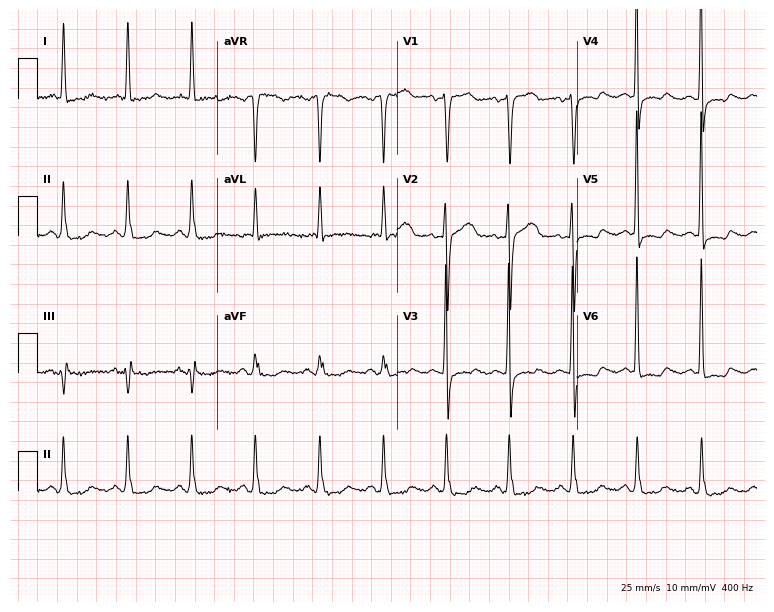
Standard 12-lead ECG recorded from a woman, 49 years old (7.3-second recording at 400 Hz). None of these six findings is recorded: first-degree AV block, right bundle branch block, left bundle branch block, sinus bradycardia, atrial fibrillation, sinus tachycardia.